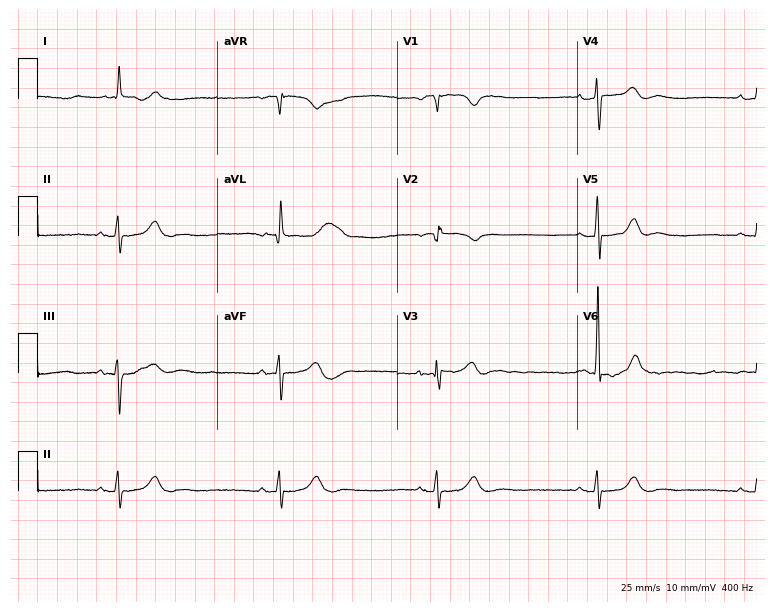
Resting 12-lead electrocardiogram (7.3-second recording at 400 Hz). Patient: a female, 74 years old. None of these six findings is recorded: first-degree AV block, right bundle branch block (RBBB), left bundle branch block (LBBB), sinus bradycardia, atrial fibrillation (AF), sinus tachycardia. Only these six findings were labelled.